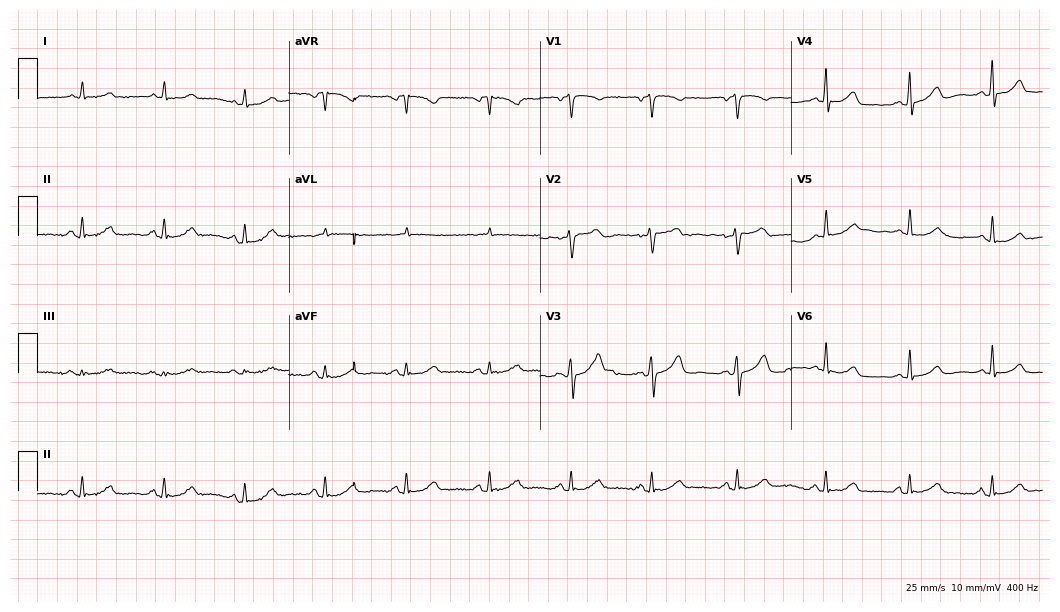
ECG (10.2-second recording at 400 Hz) — a 52-year-old female patient. Labelled as a normal ECG.